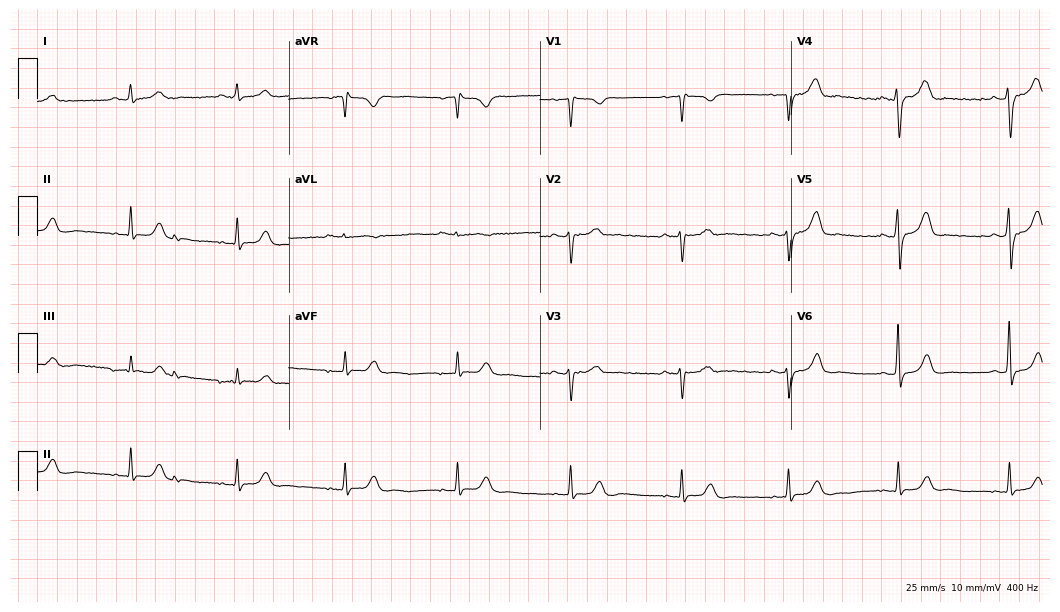
Electrocardiogram, a 44-year-old man. Of the six screened findings (first-degree AV block, right bundle branch block, left bundle branch block, sinus bradycardia, atrial fibrillation, sinus tachycardia), none is recorded. Only these six findings were labelled.